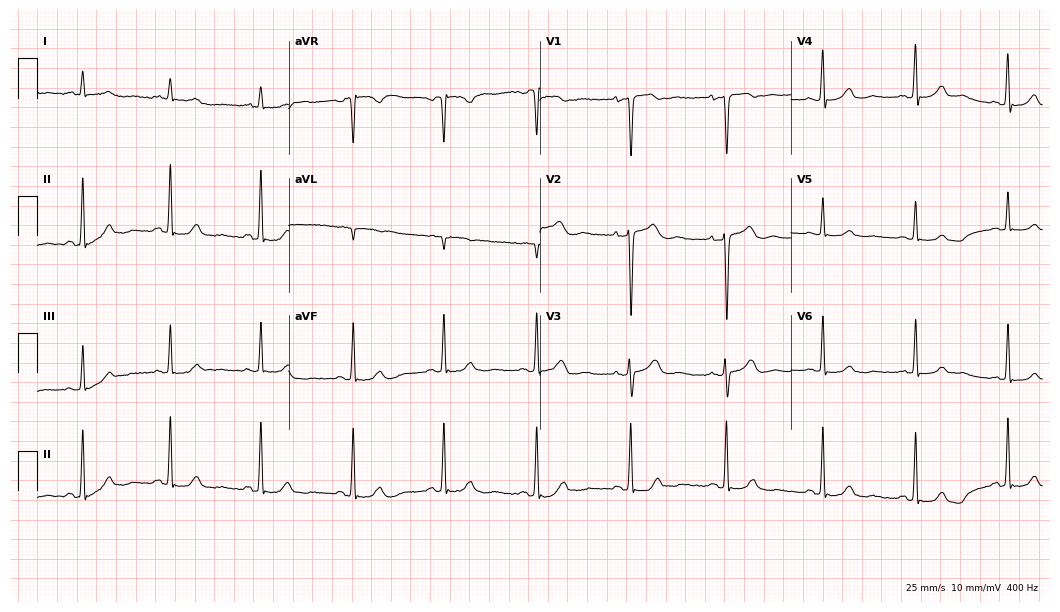
Standard 12-lead ECG recorded from a woman, 57 years old. None of these six findings is recorded: first-degree AV block, right bundle branch block, left bundle branch block, sinus bradycardia, atrial fibrillation, sinus tachycardia. Findings outside these six are not listed.